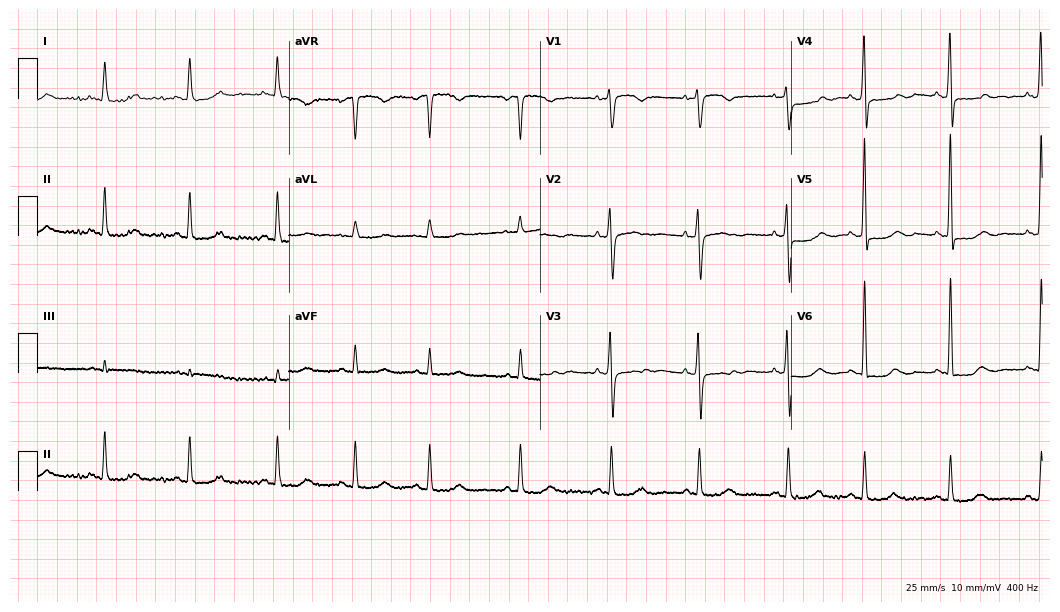
Standard 12-lead ECG recorded from a 75-year-old female. None of these six findings is recorded: first-degree AV block, right bundle branch block, left bundle branch block, sinus bradycardia, atrial fibrillation, sinus tachycardia. Findings outside these six are not listed.